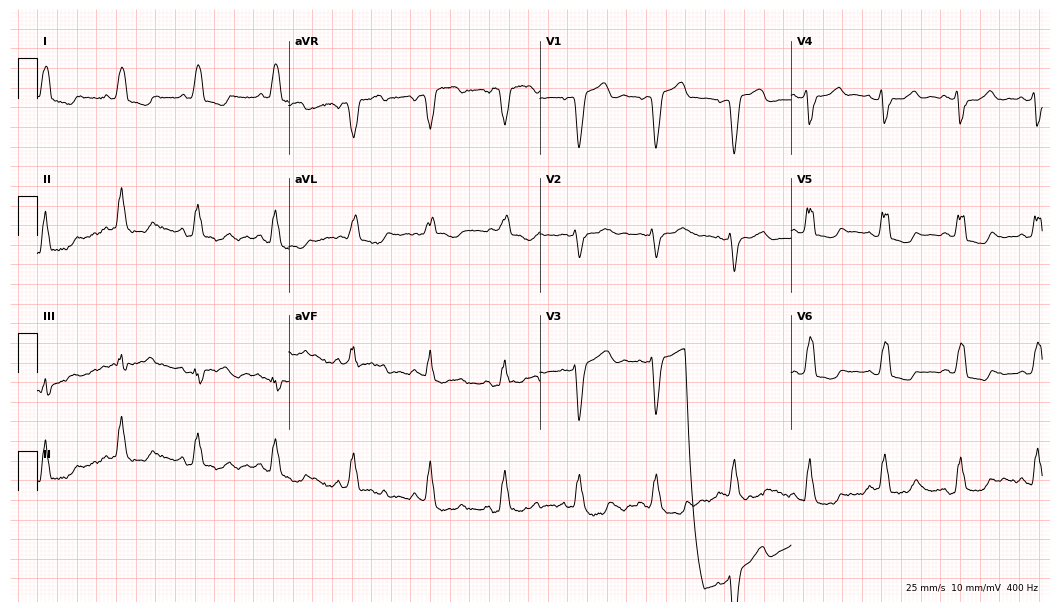
Standard 12-lead ECG recorded from a female patient, 70 years old. None of these six findings is recorded: first-degree AV block, right bundle branch block, left bundle branch block, sinus bradycardia, atrial fibrillation, sinus tachycardia.